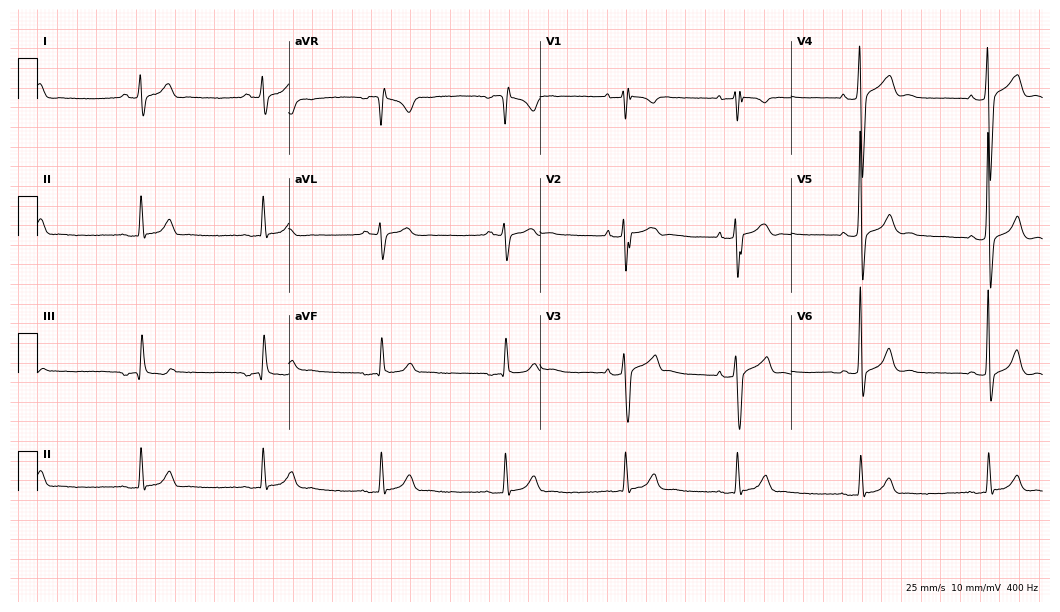
Electrocardiogram (10.2-second recording at 400 Hz), a man, 32 years old. Interpretation includes sinus bradycardia (a sinus rate of 50 beats per minute or less).